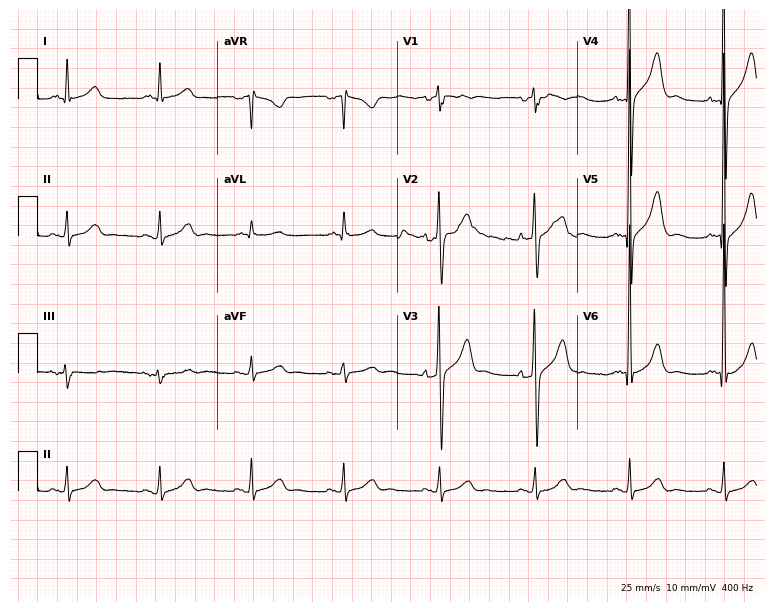
12-lead ECG from a 78-year-old male. Recorded interpretation: within normal limits.